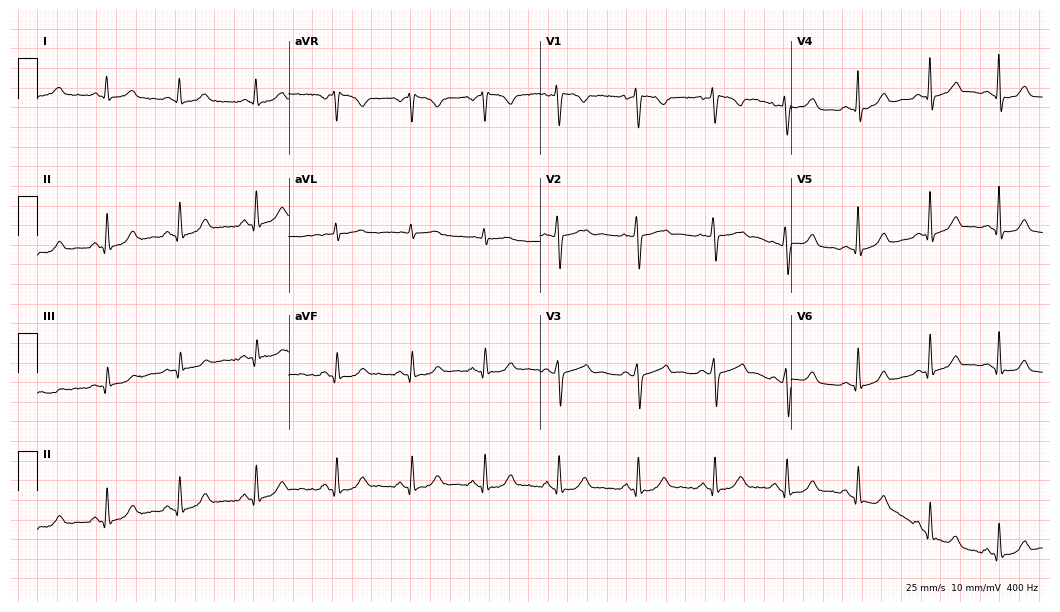
12-lead ECG from a 36-year-old female. Recorded interpretation: within normal limits.